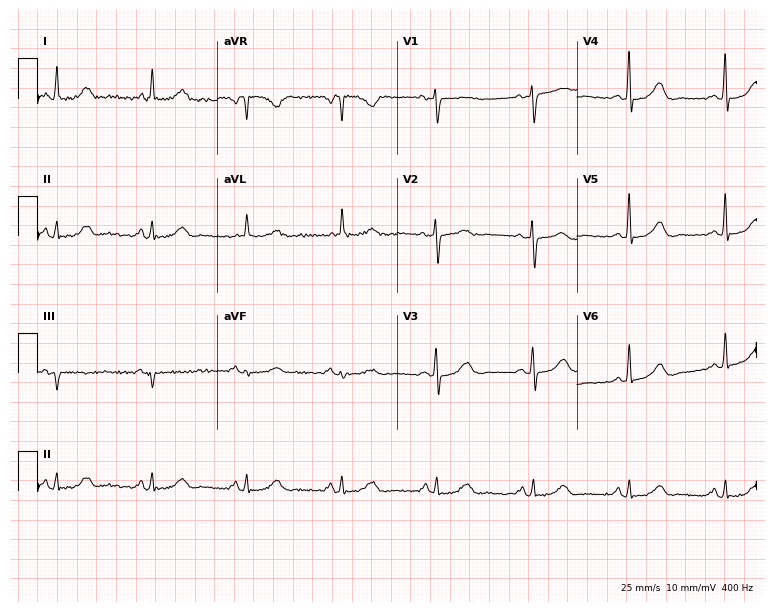
Standard 12-lead ECG recorded from a woman, 77 years old (7.3-second recording at 400 Hz). None of these six findings is recorded: first-degree AV block, right bundle branch block, left bundle branch block, sinus bradycardia, atrial fibrillation, sinus tachycardia.